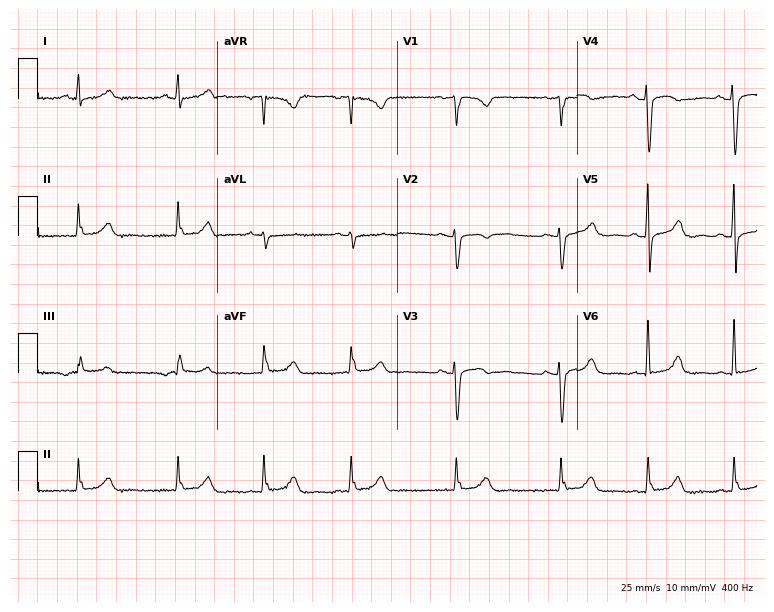
12-lead ECG from a 46-year-old female patient (7.3-second recording at 400 Hz). No first-degree AV block, right bundle branch block (RBBB), left bundle branch block (LBBB), sinus bradycardia, atrial fibrillation (AF) or sinus tachycardia recorded for this tracing. Findings outside these six are not listed.